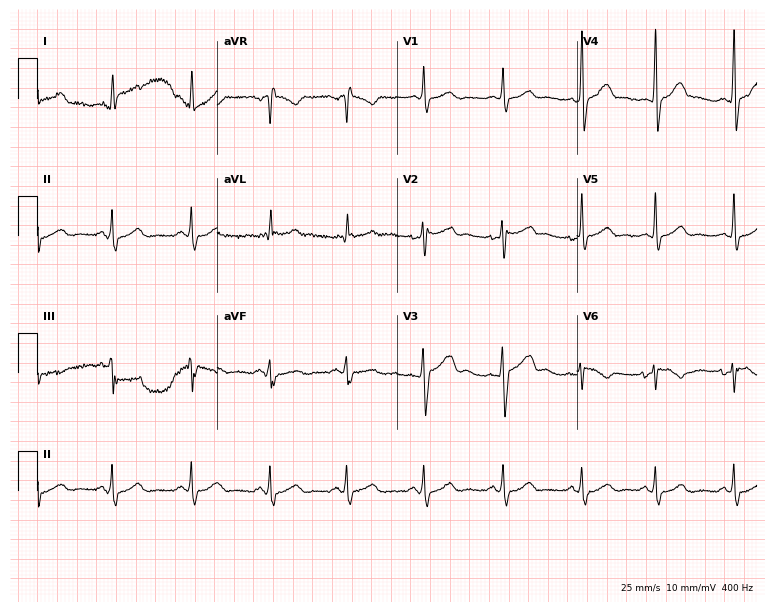
Electrocardiogram, a 37-year-old male. Of the six screened findings (first-degree AV block, right bundle branch block, left bundle branch block, sinus bradycardia, atrial fibrillation, sinus tachycardia), none is recorded. Other findings, if any, are not listed.